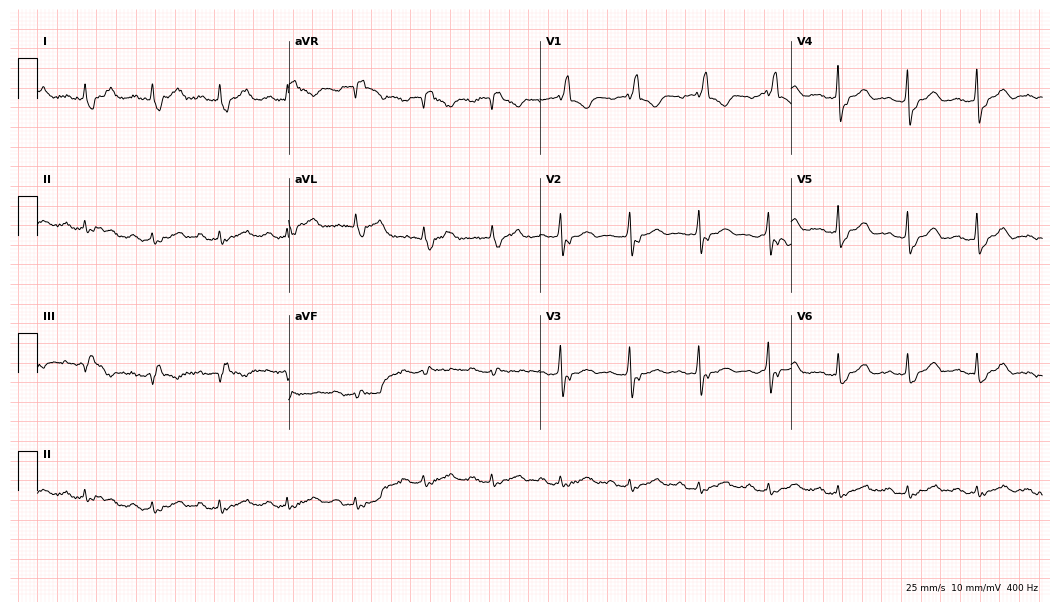
12-lead ECG (10.2-second recording at 400 Hz) from a male patient, 69 years old. Findings include right bundle branch block (RBBB).